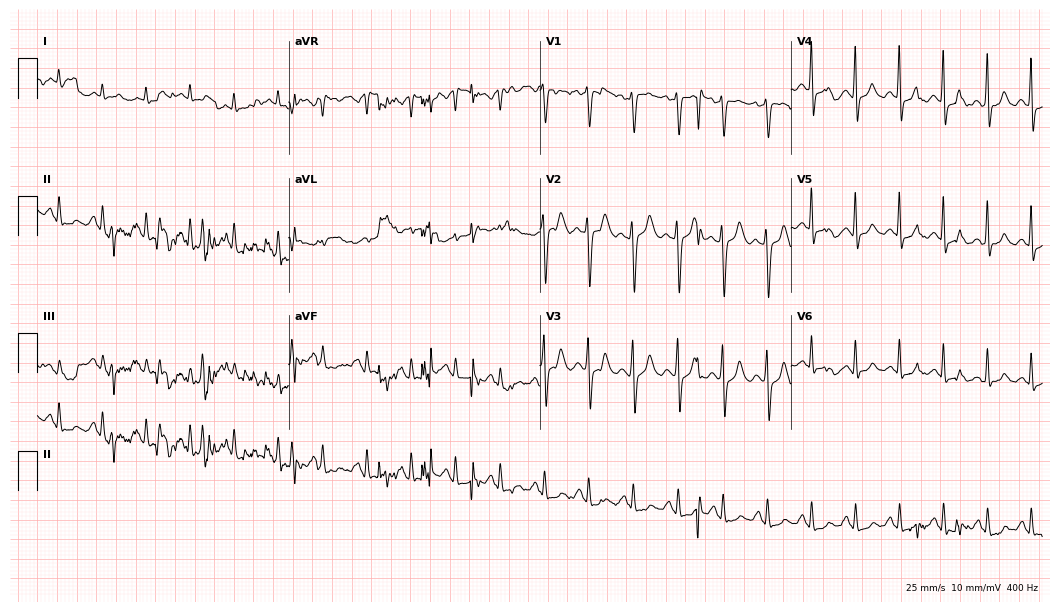
Resting 12-lead electrocardiogram (10.2-second recording at 400 Hz). Patient: a female, 47 years old. The tracing shows sinus tachycardia (a sinus rate of 100 beats per minute or more).